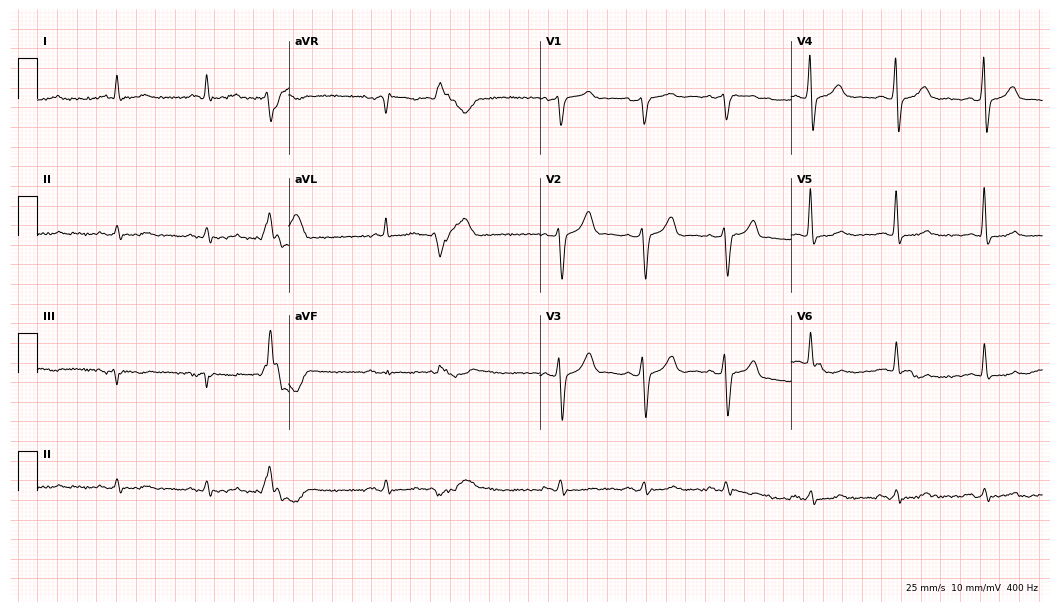
Electrocardiogram, a male patient, 61 years old. Of the six screened findings (first-degree AV block, right bundle branch block (RBBB), left bundle branch block (LBBB), sinus bradycardia, atrial fibrillation (AF), sinus tachycardia), none is recorded. Findings outside these six are not listed.